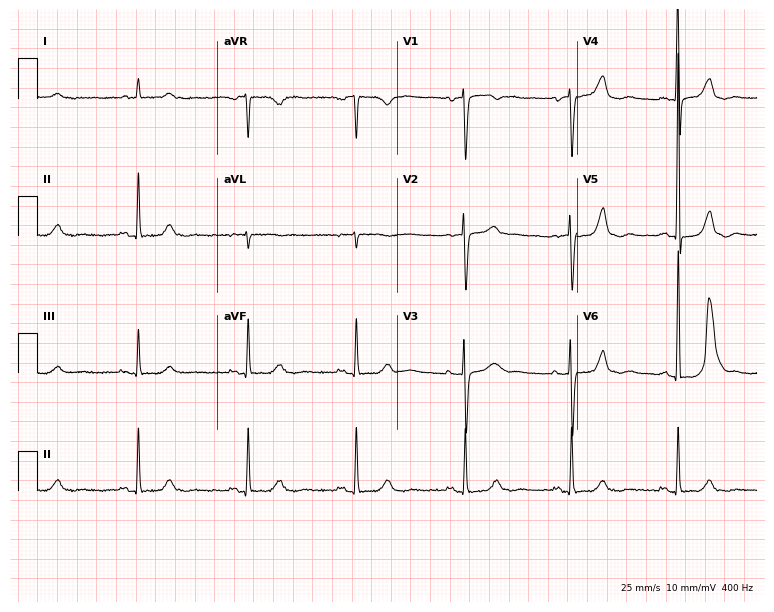
12-lead ECG (7.3-second recording at 400 Hz) from a 71-year-old female. Labelled as a normal ECG.